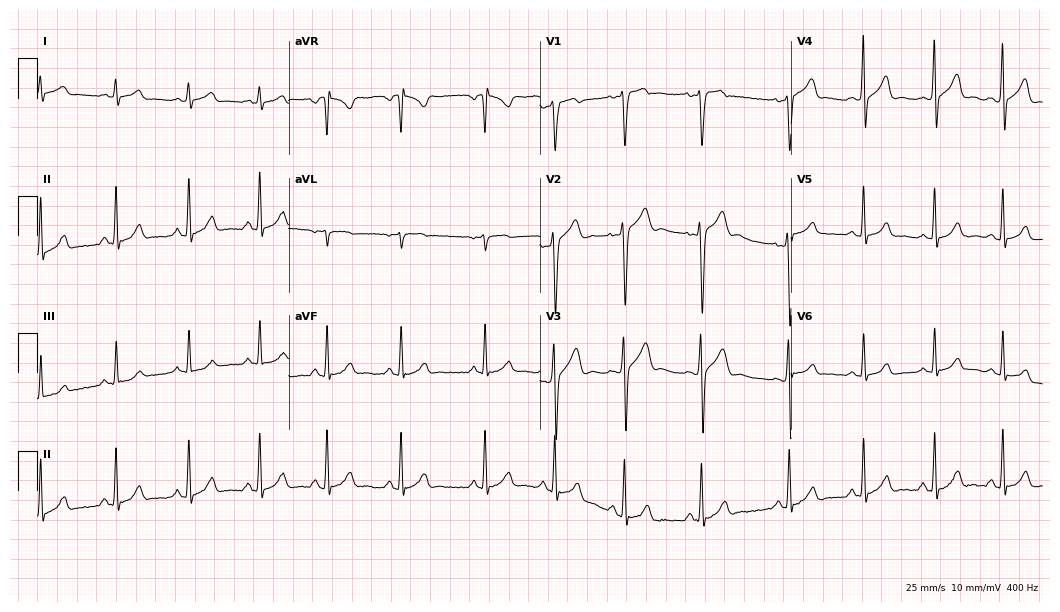
Standard 12-lead ECG recorded from a male, 20 years old (10.2-second recording at 400 Hz). Read as a normal ECG.